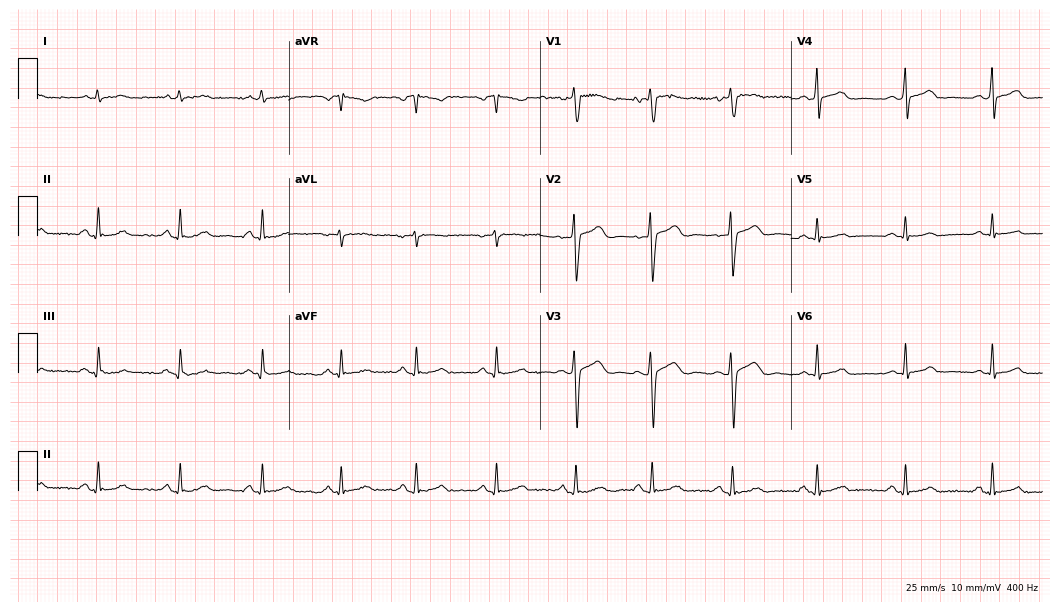
ECG — a female patient, 28 years old. Screened for six findings — first-degree AV block, right bundle branch block, left bundle branch block, sinus bradycardia, atrial fibrillation, sinus tachycardia — none is recorded.